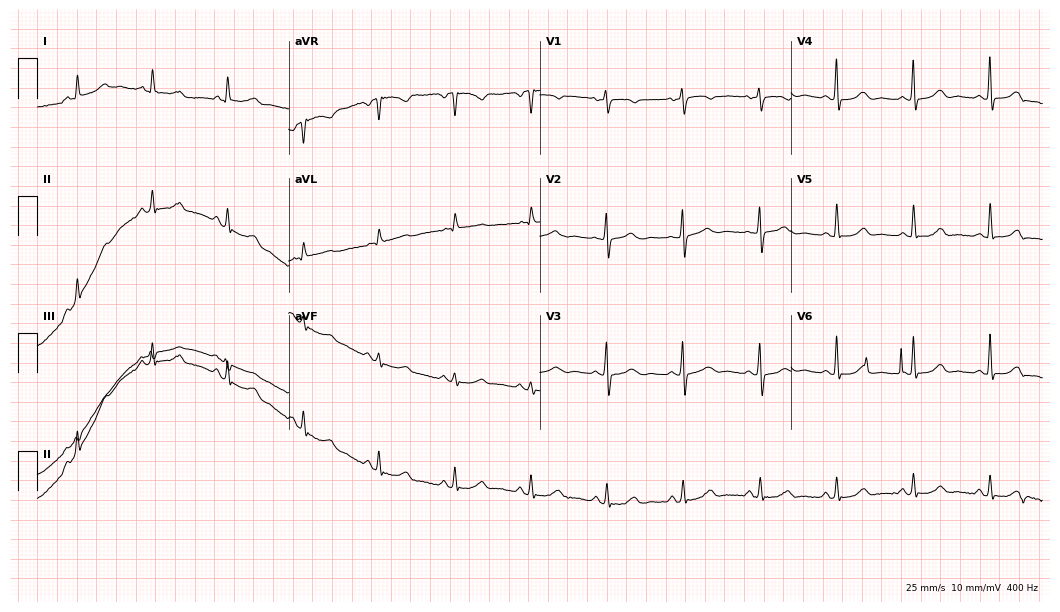
Standard 12-lead ECG recorded from a female patient, 77 years old. Read as a normal ECG.